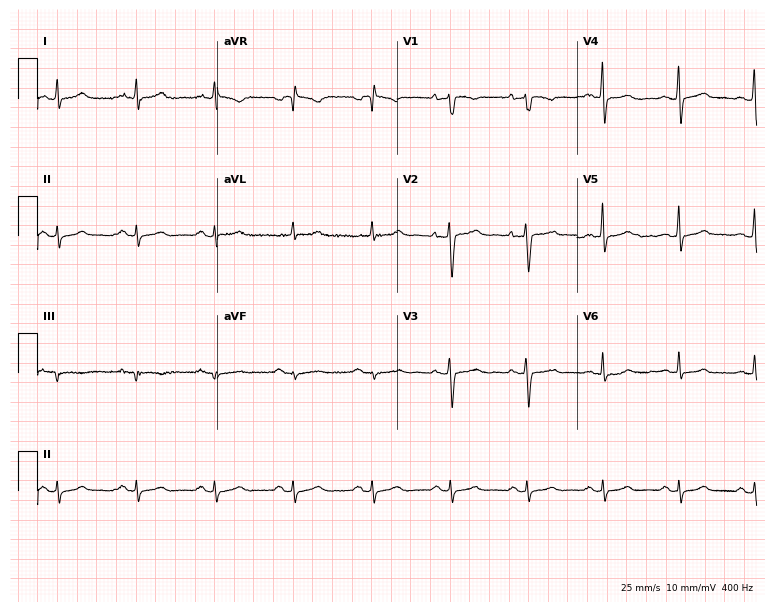
ECG — a 55-year-old male patient. Labelled as a normal ECG.